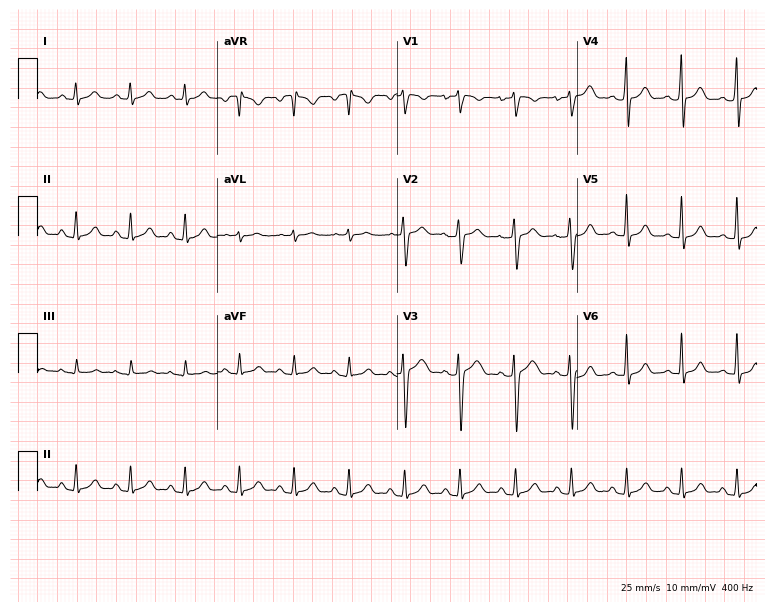
Resting 12-lead electrocardiogram (7.3-second recording at 400 Hz). Patient: a 19-year-old woman. None of these six findings is recorded: first-degree AV block, right bundle branch block, left bundle branch block, sinus bradycardia, atrial fibrillation, sinus tachycardia.